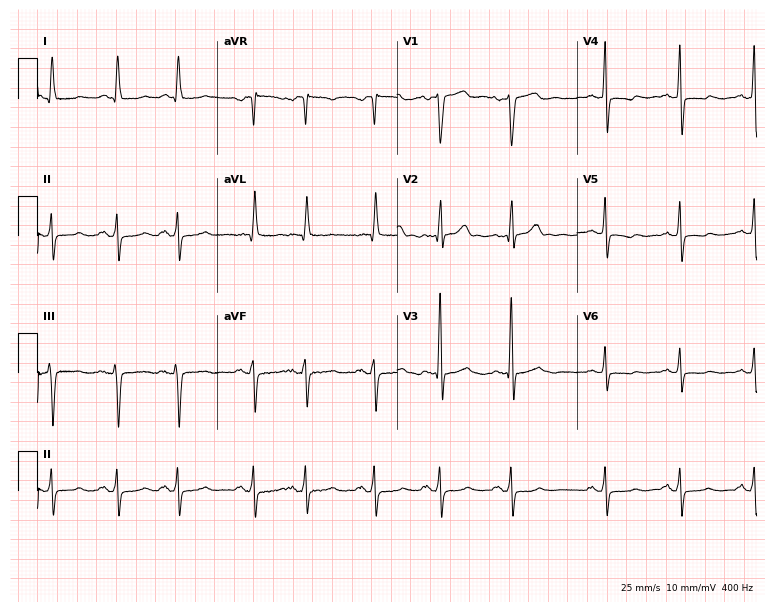
12-lead ECG from a 74-year-old man. Screened for six findings — first-degree AV block, right bundle branch block (RBBB), left bundle branch block (LBBB), sinus bradycardia, atrial fibrillation (AF), sinus tachycardia — none is recorded. Other findings, if any, are not listed.